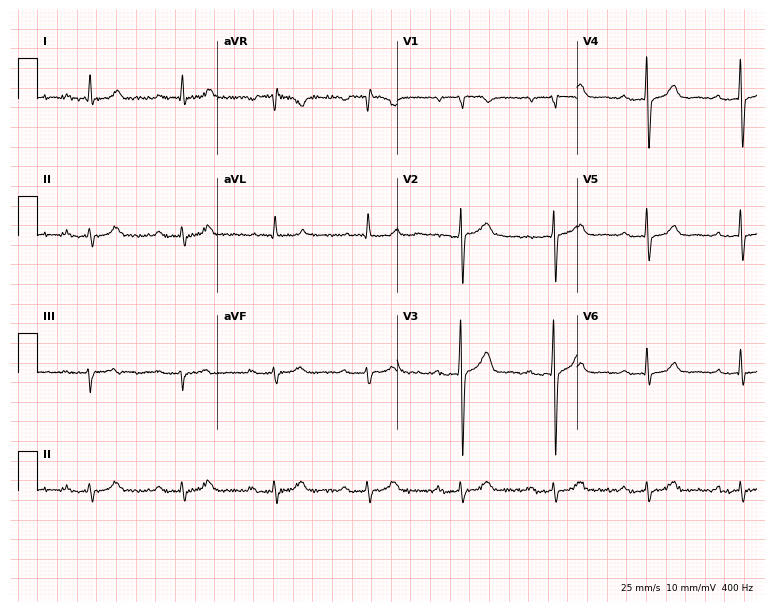
Resting 12-lead electrocardiogram (7.3-second recording at 400 Hz). Patient: a man, 81 years old. The tracing shows first-degree AV block.